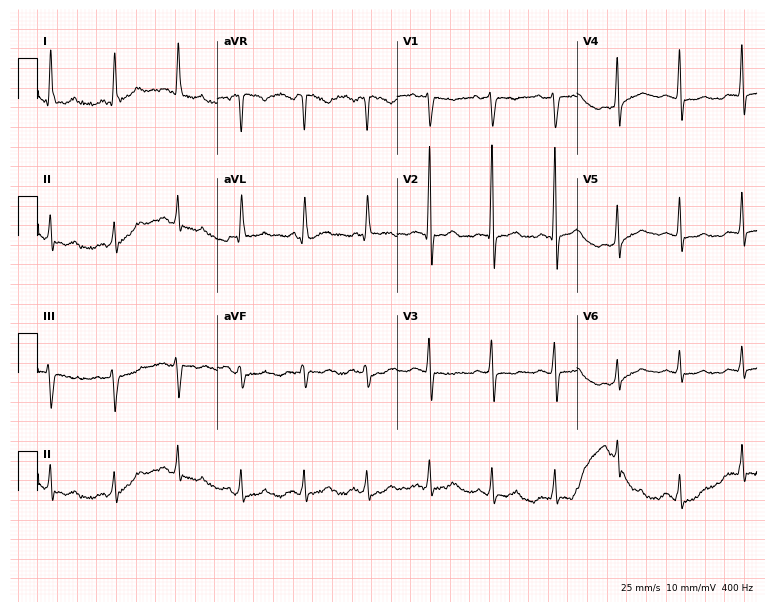
ECG — a 41-year-old female. Screened for six findings — first-degree AV block, right bundle branch block, left bundle branch block, sinus bradycardia, atrial fibrillation, sinus tachycardia — none is recorded. Findings outside these six are not listed.